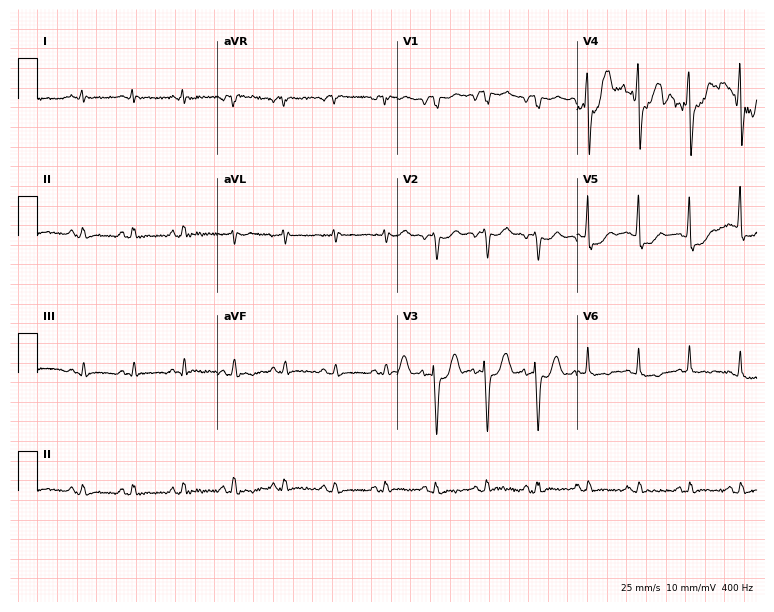
Resting 12-lead electrocardiogram (7.3-second recording at 400 Hz). Patient: a man, 68 years old. None of these six findings is recorded: first-degree AV block, right bundle branch block, left bundle branch block, sinus bradycardia, atrial fibrillation, sinus tachycardia. Other findings, if any, are not listed.